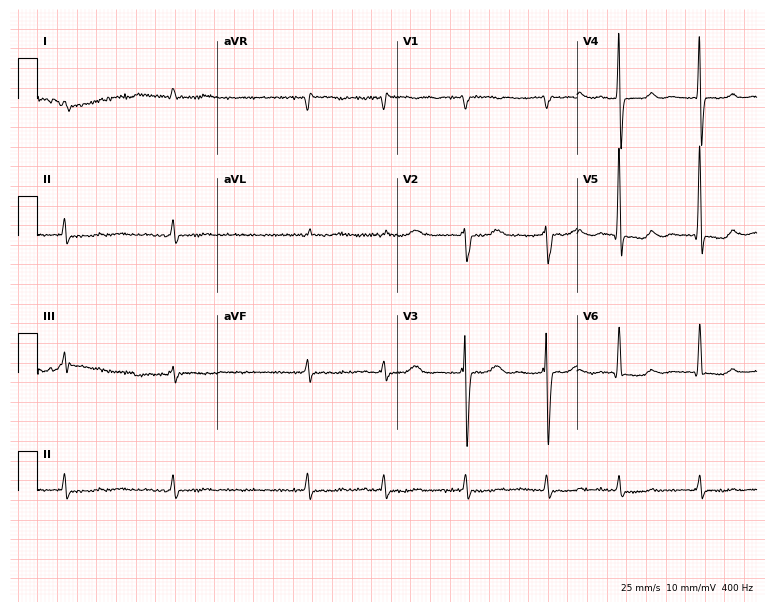
Standard 12-lead ECG recorded from an 81-year-old man. The tracing shows atrial fibrillation (AF).